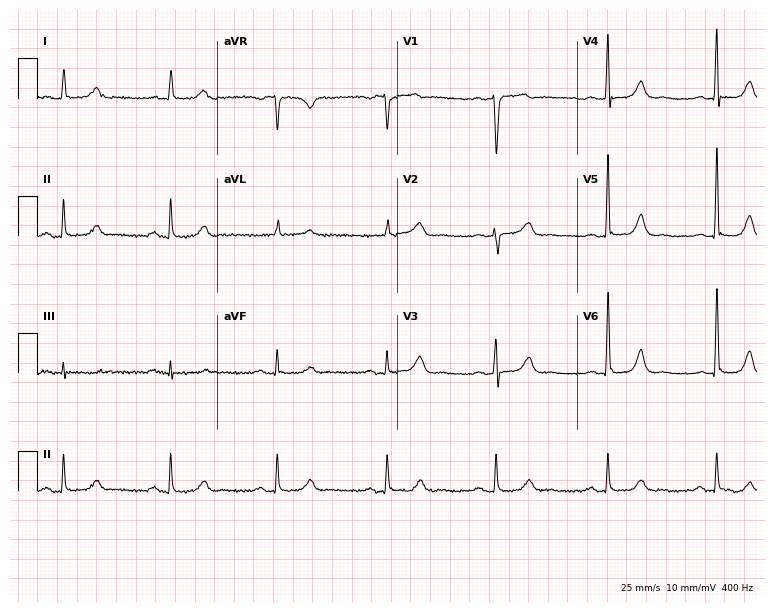
Resting 12-lead electrocardiogram. Patient: a man, 78 years old. Read as a normal ECG.